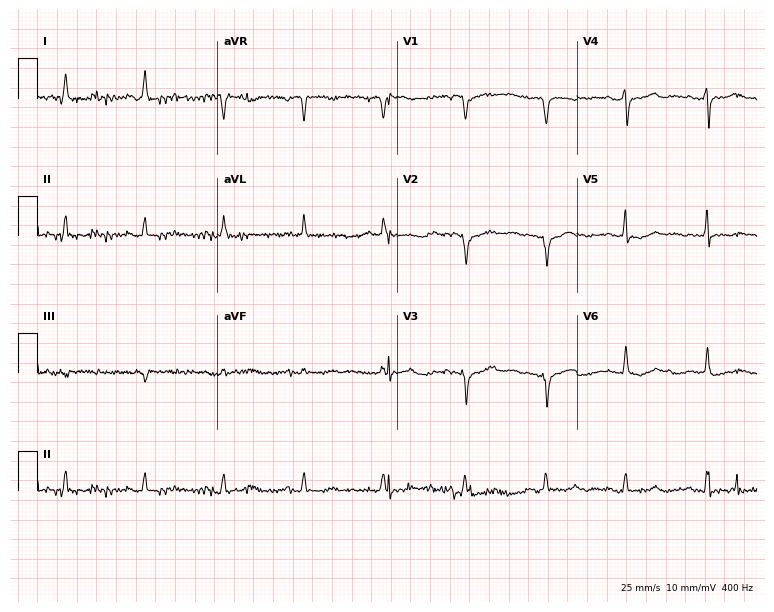
Standard 12-lead ECG recorded from a female, 74 years old (7.3-second recording at 400 Hz). None of these six findings is recorded: first-degree AV block, right bundle branch block (RBBB), left bundle branch block (LBBB), sinus bradycardia, atrial fibrillation (AF), sinus tachycardia. Other findings, if any, are not listed.